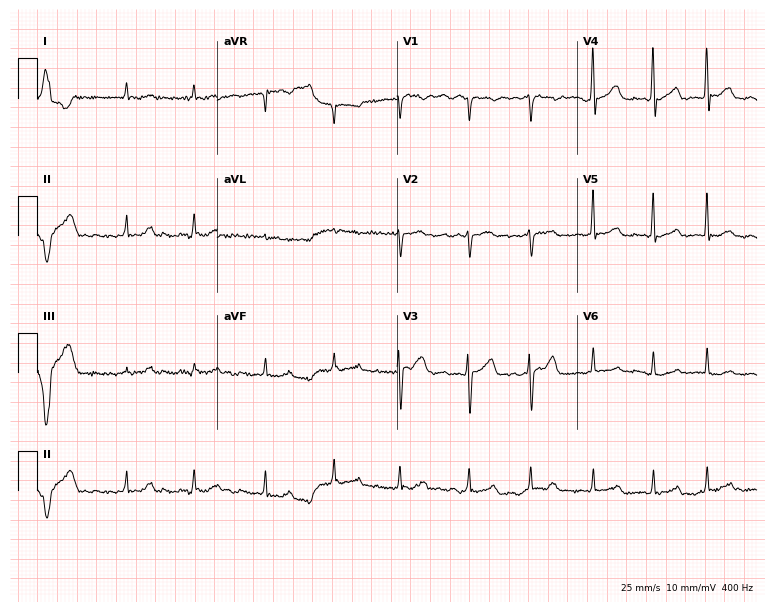
Resting 12-lead electrocardiogram (7.3-second recording at 400 Hz). Patient: a 72-year-old man. The tracing shows atrial fibrillation.